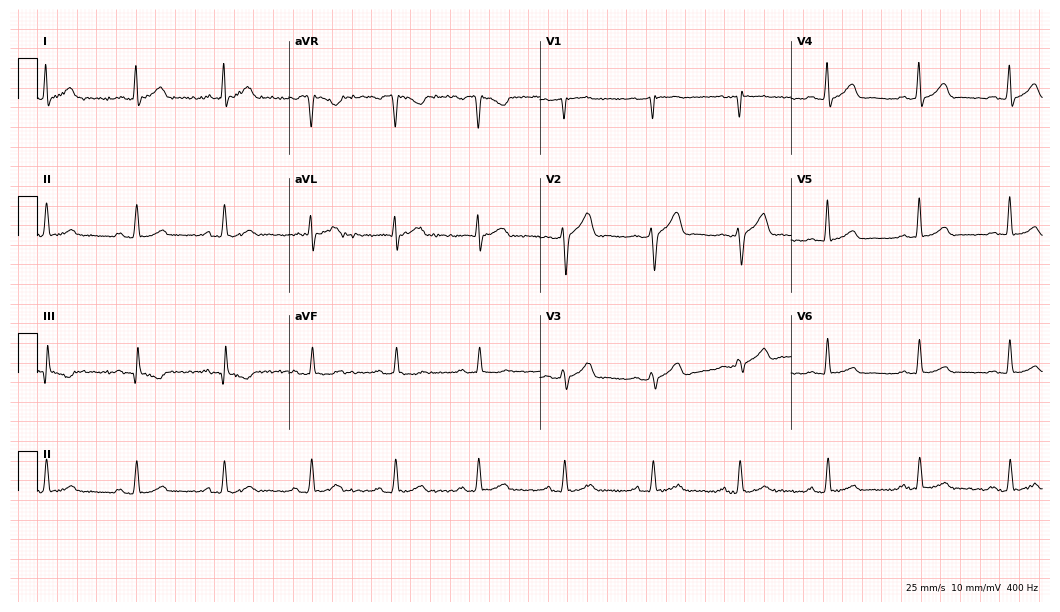
Resting 12-lead electrocardiogram (10.2-second recording at 400 Hz). Patient: a male, 44 years old. Read as a normal ECG.